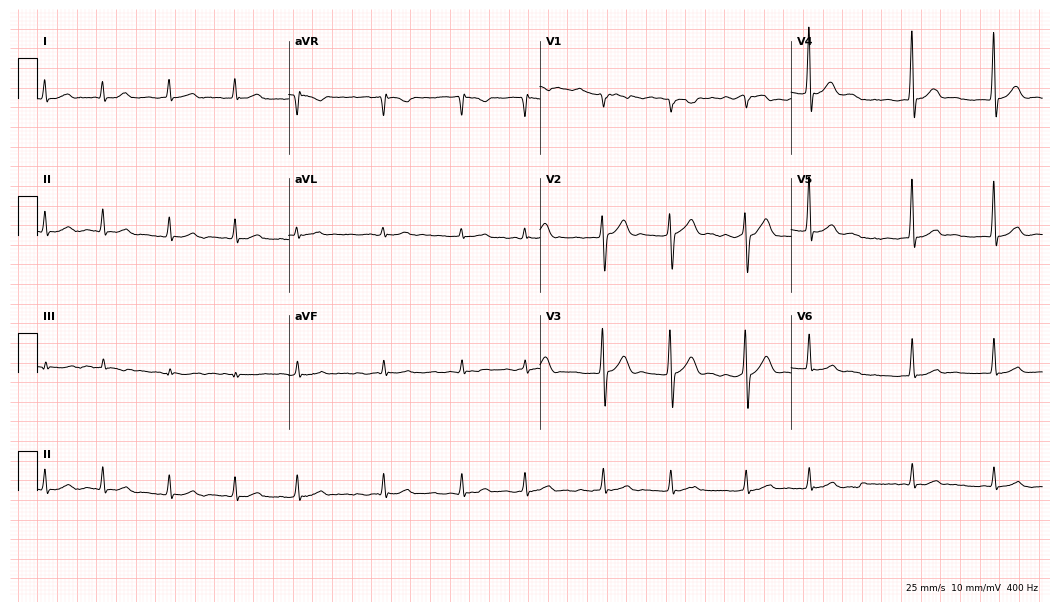
ECG — a male patient, 80 years old. Findings include atrial fibrillation.